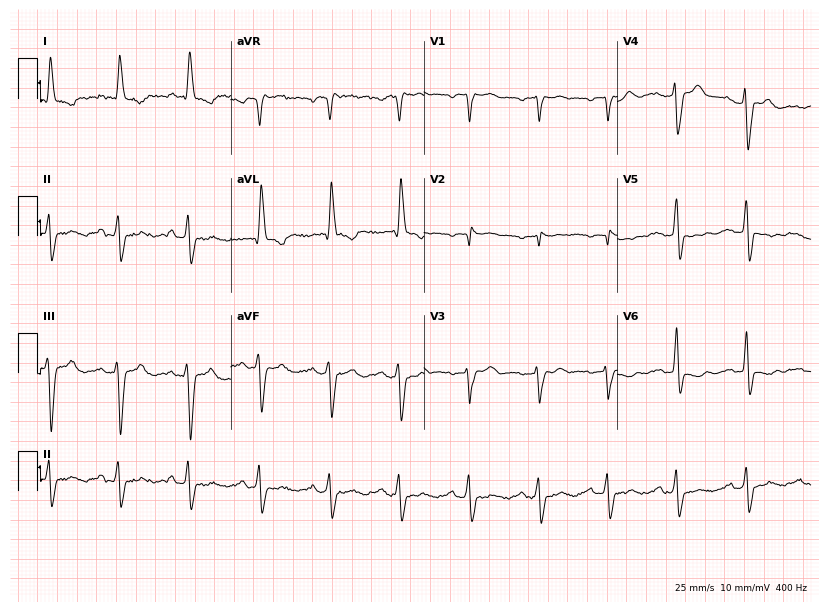
12-lead ECG from a female patient, 70 years old (7.9-second recording at 400 Hz). No first-degree AV block, right bundle branch block, left bundle branch block, sinus bradycardia, atrial fibrillation or sinus tachycardia recorded for this tracing.